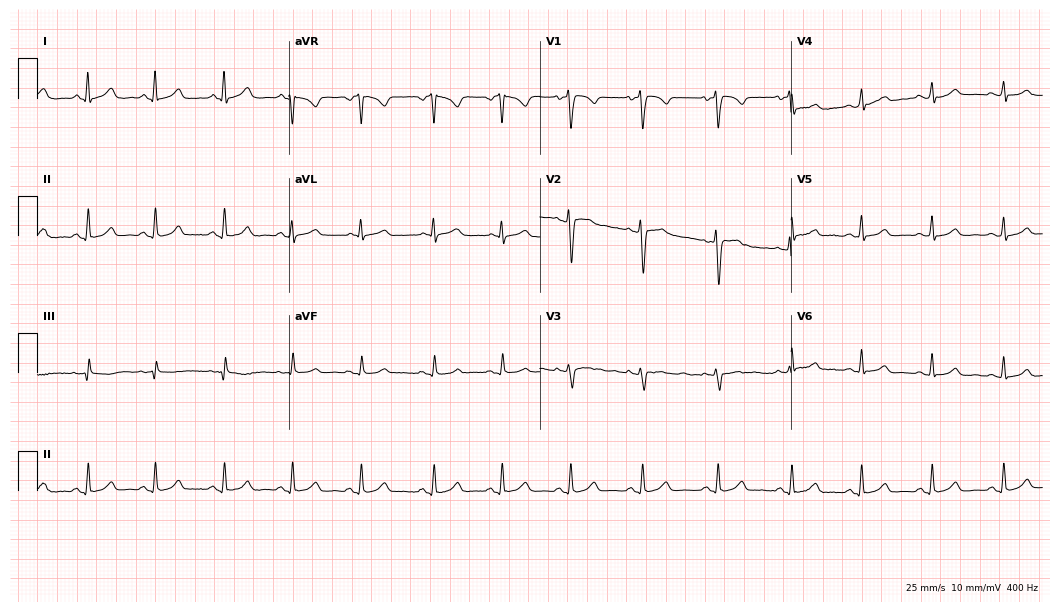
Electrocardiogram (10.2-second recording at 400 Hz), a woman, 31 years old. Overall reading on record: normal ECG.